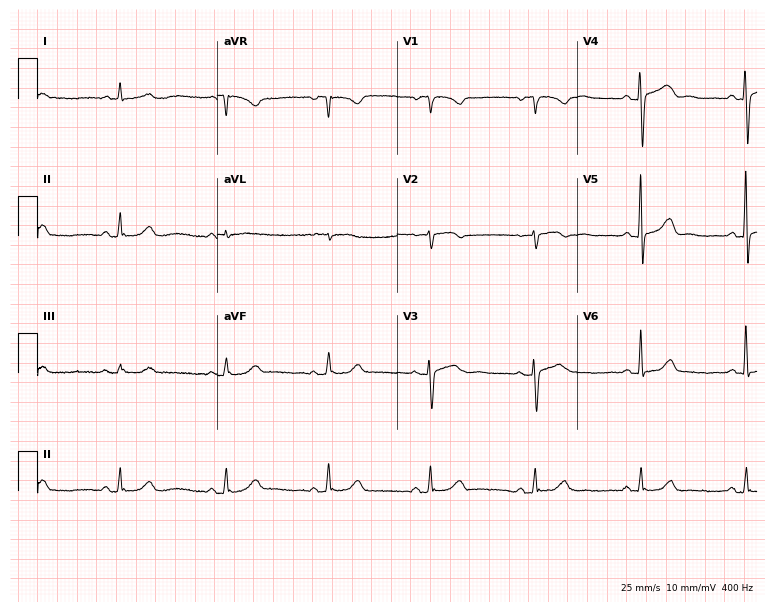
ECG — a 73-year-old female patient. Labelled as a normal ECG.